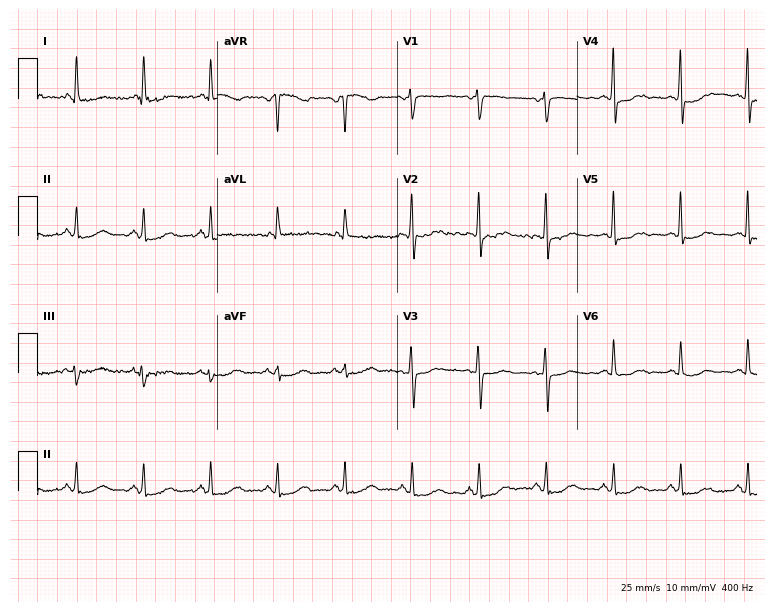
Electrocardiogram, a female patient, 58 years old. Of the six screened findings (first-degree AV block, right bundle branch block (RBBB), left bundle branch block (LBBB), sinus bradycardia, atrial fibrillation (AF), sinus tachycardia), none is recorded. Other findings, if any, are not listed.